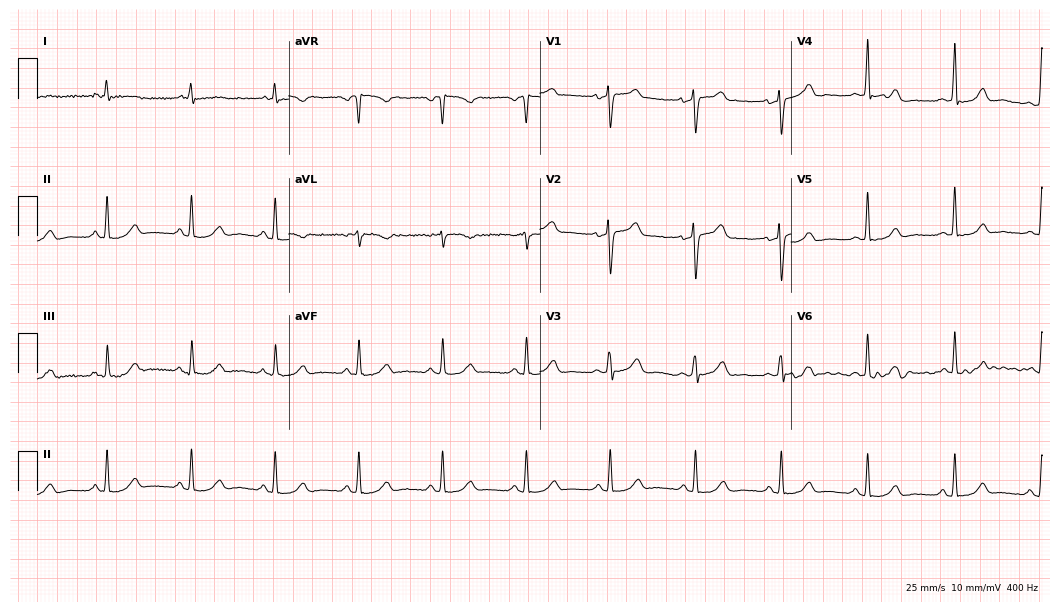
ECG — a female, 55 years old. Screened for six findings — first-degree AV block, right bundle branch block, left bundle branch block, sinus bradycardia, atrial fibrillation, sinus tachycardia — none is recorded. Findings outside these six are not listed.